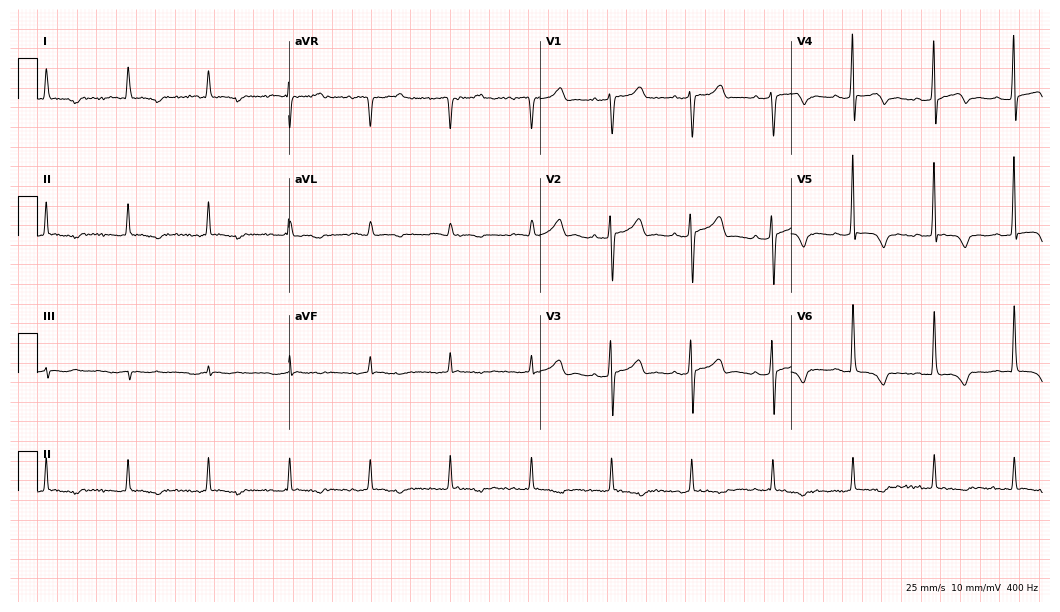
Standard 12-lead ECG recorded from a woman, 62 years old. None of these six findings is recorded: first-degree AV block, right bundle branch block (RBBB), left bundle branch block (LBBB), sinus bradycardia, atrial fibrillation (AF), sinus tachycardia. Findings outside these six are not listed.